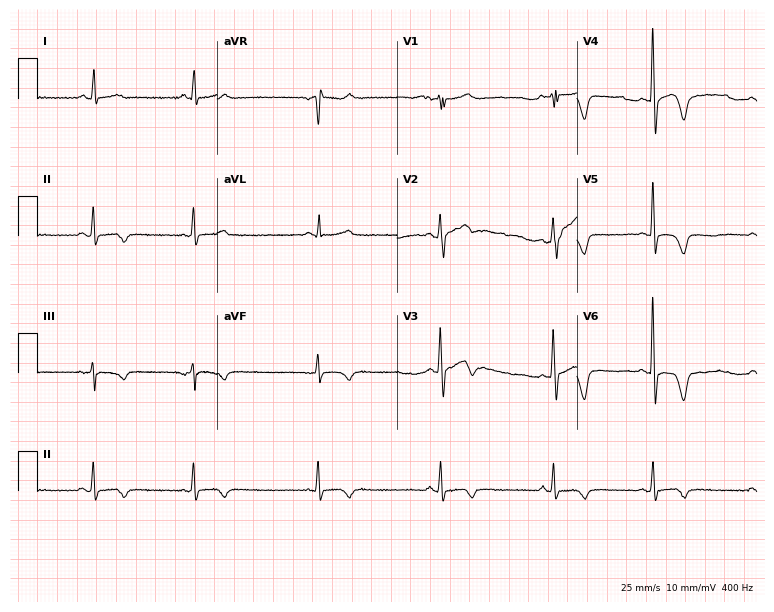
Electrocardiogram (7.3-second recording at 400 Hz), a 56-year-old woman. Interpretation includes sinus bradycardia (a sinus rate of 50 beats per minute or less).